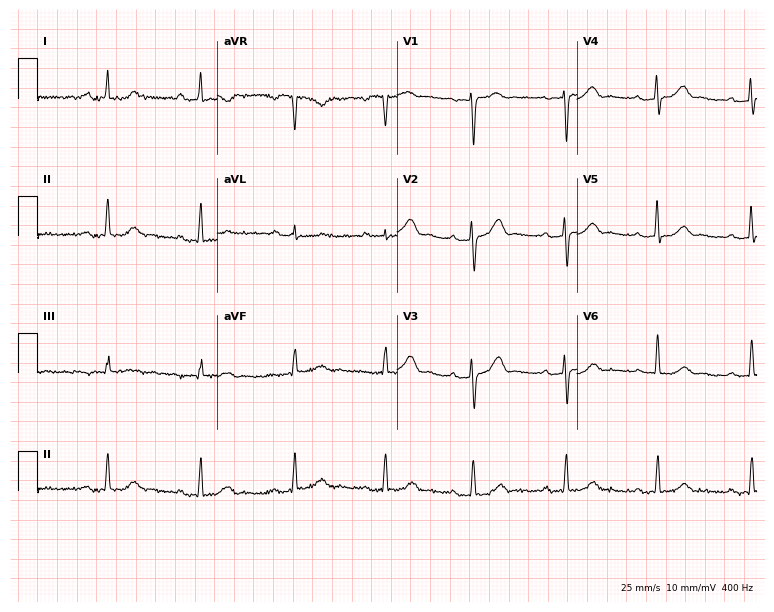
12-lead ECG from a 42-year-old female. Findings include first-degree AV block.